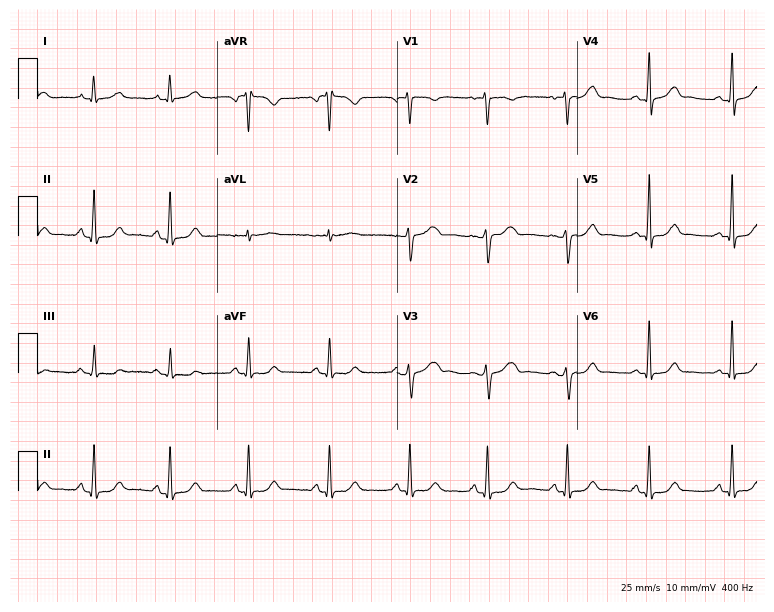
12-lead ECG (7.3-second recording at 400 Hz) from a 40-year-old female. Screened for six findings — first-degree AV block, right bundle branch block, left bundle branch block, sinus bradycardia, atrial fibrillation, sinus tachycardia — none is recorded. Only these six findings were labelled.